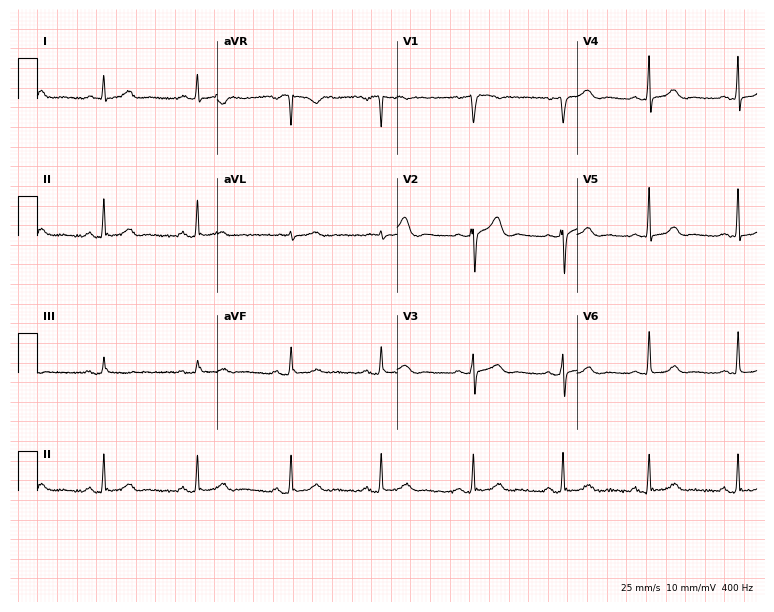
12-lead ECG from a 48-year-old woman. Recorded interpretation: within normal limits.